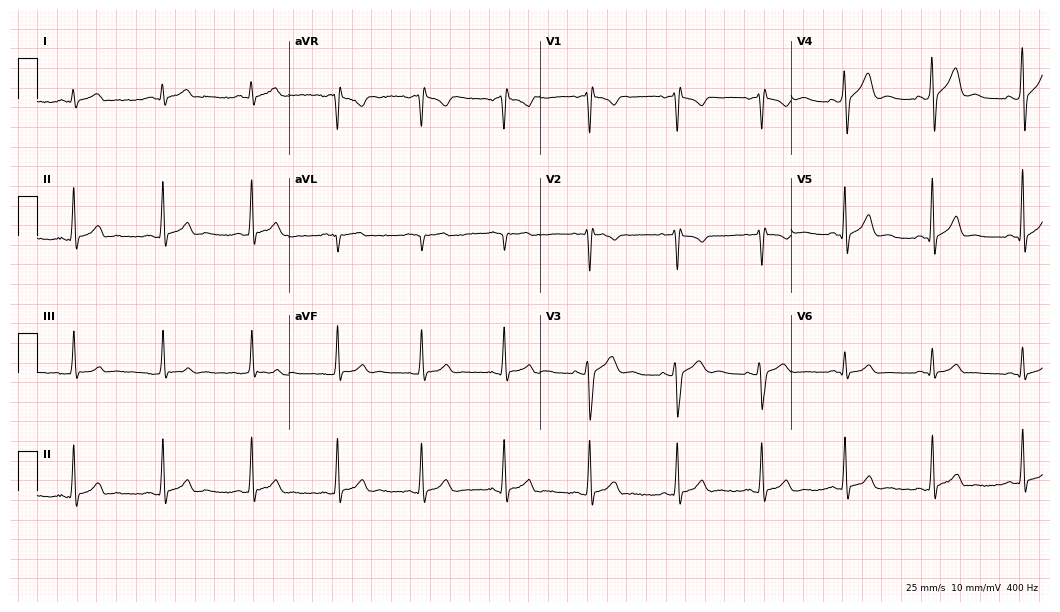
ECG (10.2-second recording at 400 Hz) — a male, 22 years old. Screened for six findings — first-degree AV block, right bundle branch block, left bundle branch block, sinus bradycardia, atrial fibrillation, sinus tachycardia — none is recorded.